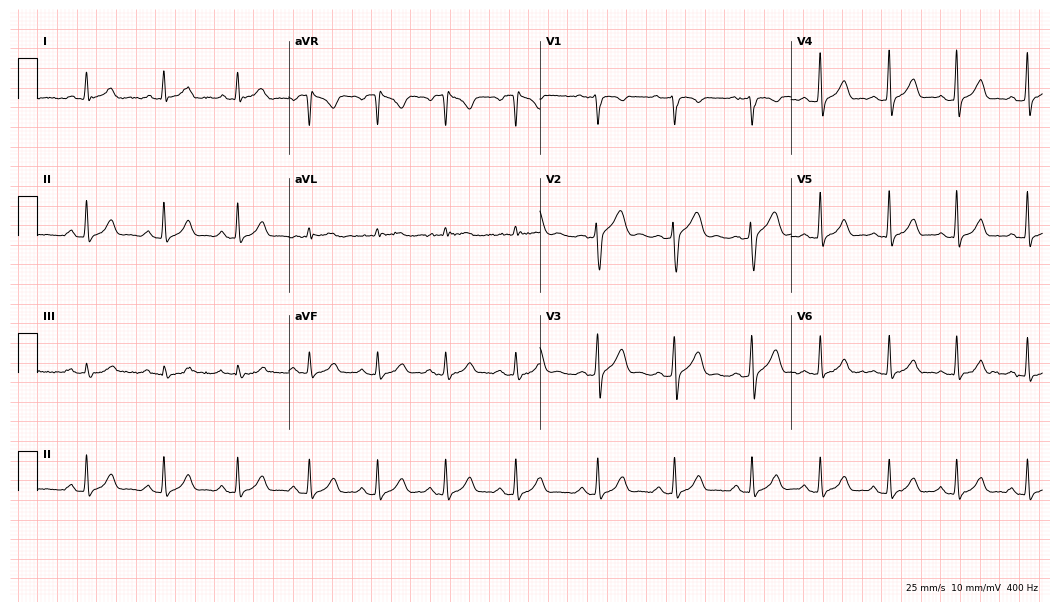
12-lead ECG from a 28-year-old male. Recorded interpretation: within normal limits.